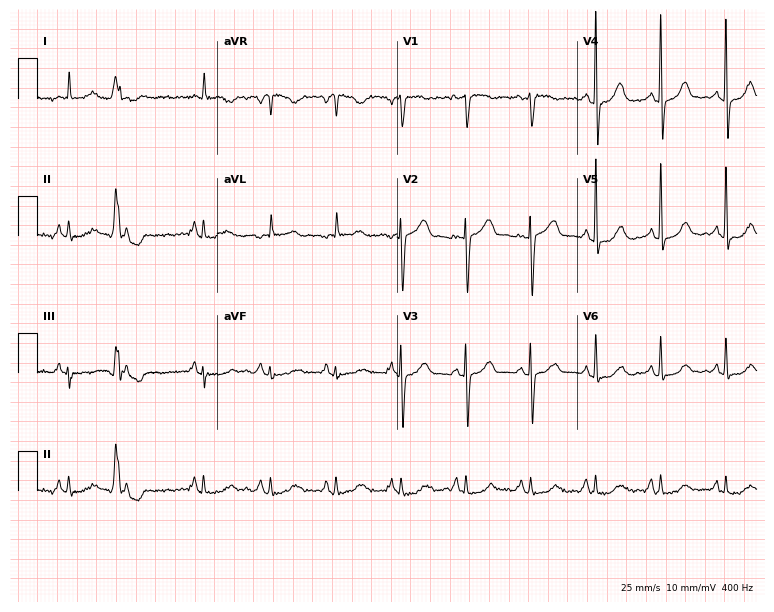
12-lead ECG from a woman, 81 years old. Screened for six findings — first-degree AV block, right bundle branch block, left bundle branch block, sinus bradycardia, atrial fibrillation, sinus tachycardia — none is recorded. Only these six findings were labelled.